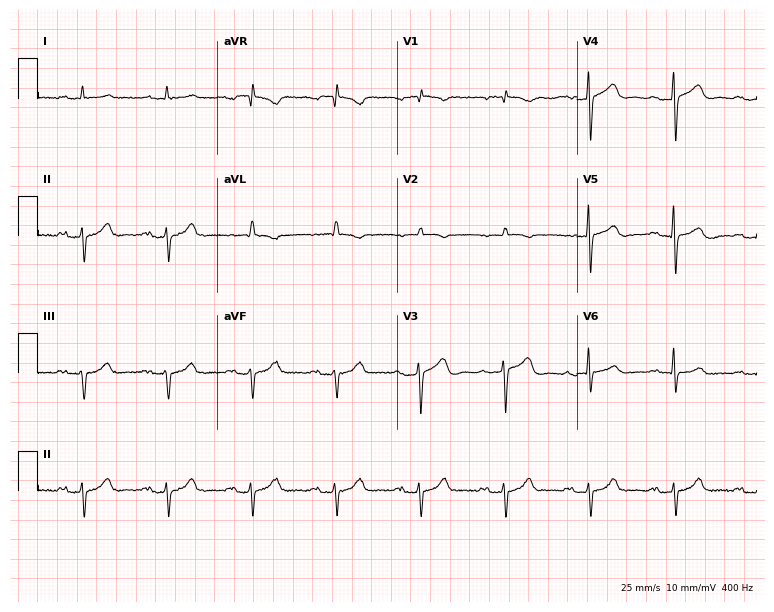
12-lead ECG from a male, 78 years old. Screened for six findings — first-degree AV block, right bundle branch block, left bundle branch block, sinus bradycardia, atrial fibrillation, sinus tachycardia — none is recorded. Findings outside these six are not listed.